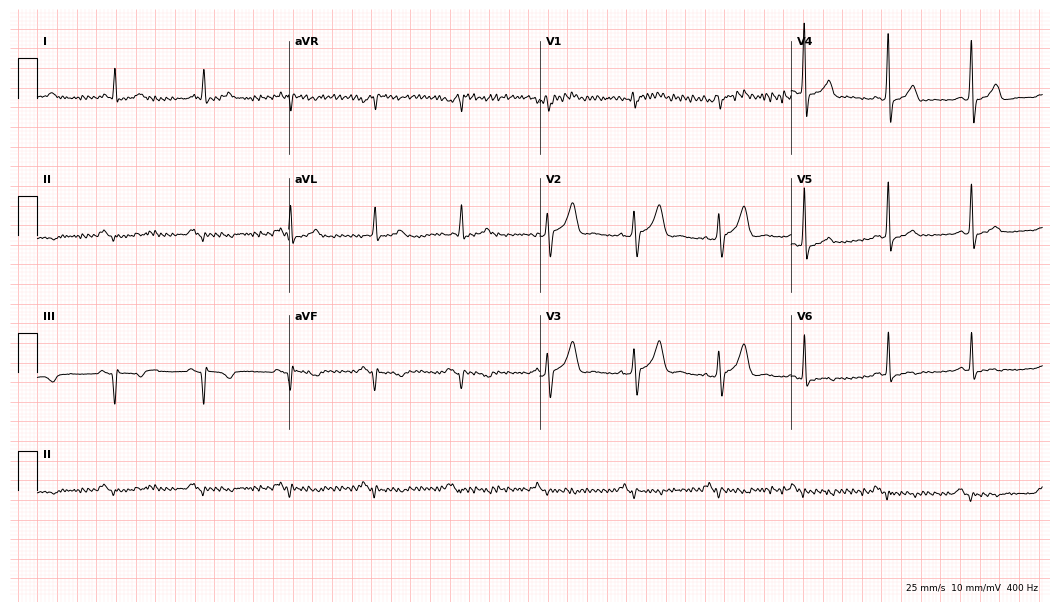
Standard 12-lead ECG recorded from a 71-year-old male patient (10.2-second recording at 400 Hz). None of these six findings is recorded: first-degree AV block, right bundle branch block, left bundle branch block, sinus bradycardia, atrial fibrillation, sinus tachycardia. Only these six findings were labelled.